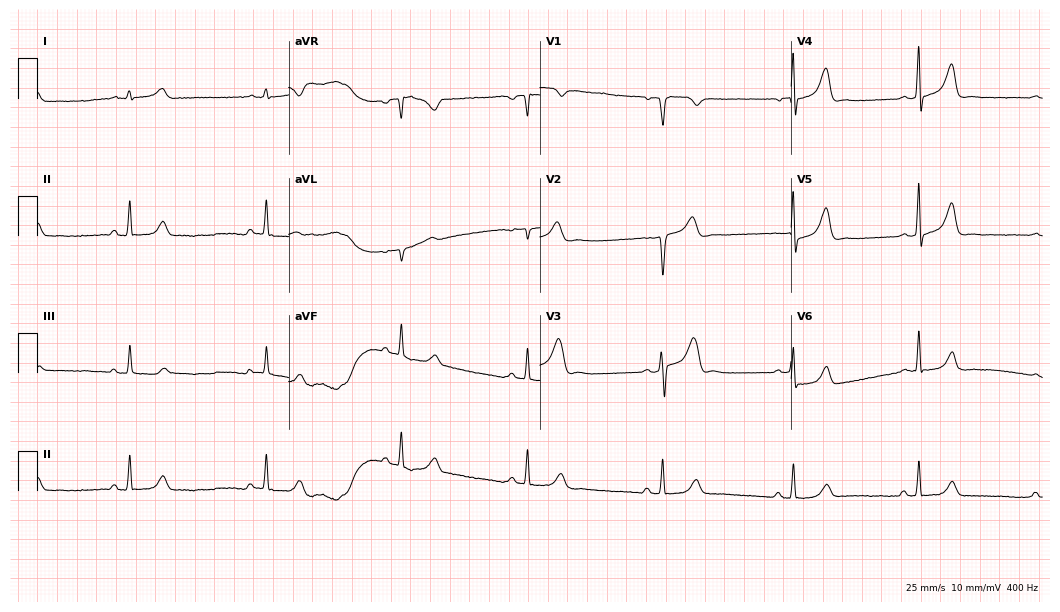
Standard 12-lead ECG recorded from a man, 49 years old. The tracing shows sinus bradycardia (a sinus rate of 50 beats per minute or less).